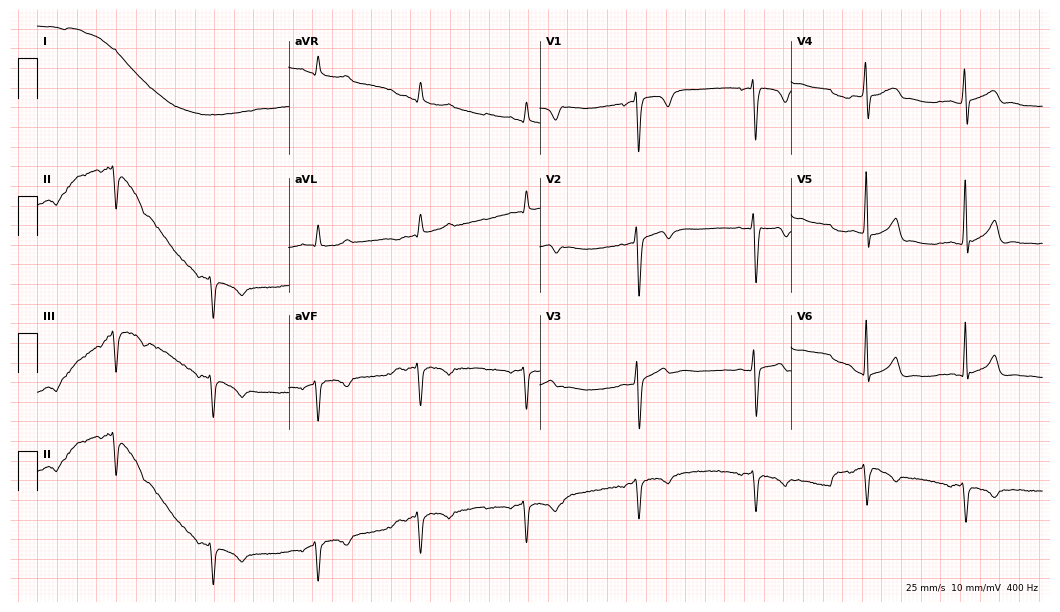
12-lead ECG from a 22-year-old male (10.2-second recording at 400 Hz). No first-degree AV block, right bundle branch block, left bundle branch block, sinus bradycardia, atrial fibrillation or sinus tachycardia recorded for this tracing. Only these six findings were labelled.